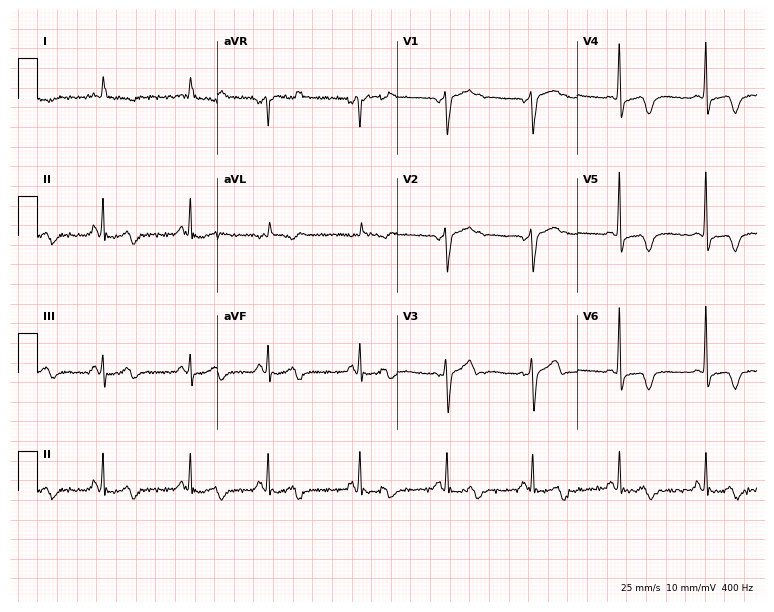
12-lead ECG (7.3-second recording at 400 Hz) from a 75-year-old male patient. Screened for six findings — first-degree AV block, right bundle branch block, left bundle branch block, sinus bradycardia, atrial fibrillation, sinus tachycardia — none is recorded.